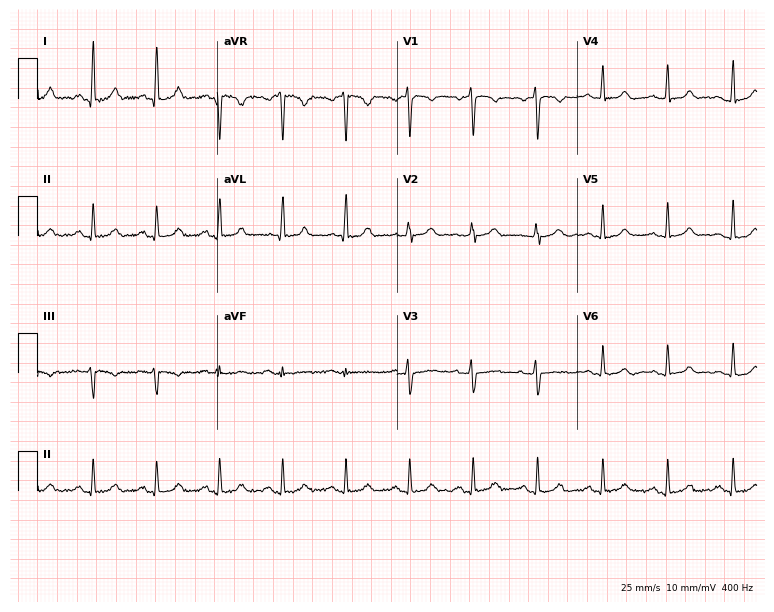
ECG (7.3-second recording at 400 Hz) — a female patient, 41 years old. Labelled as a normal ECG.